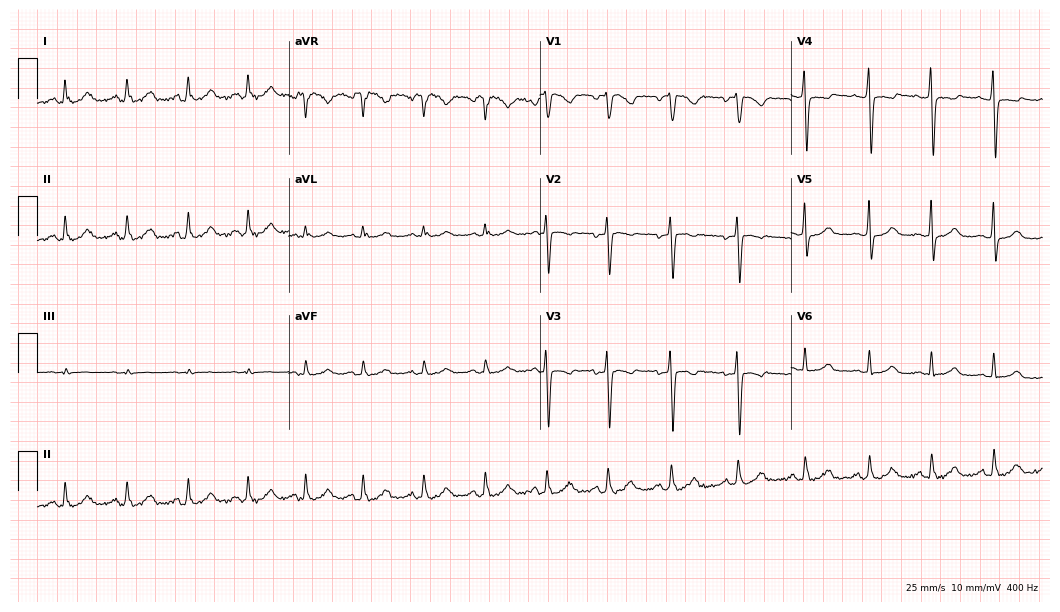
Resting 12-lead electrocardiogram (10.2-second recording at 400 Hz). Patient: a male, 30 years old. None of these six findings is recorded: first-degree AV block, right bundle branch block, left bundle branch block, sinus bradycardia, atrial fibrillation, sinus tachycardia.